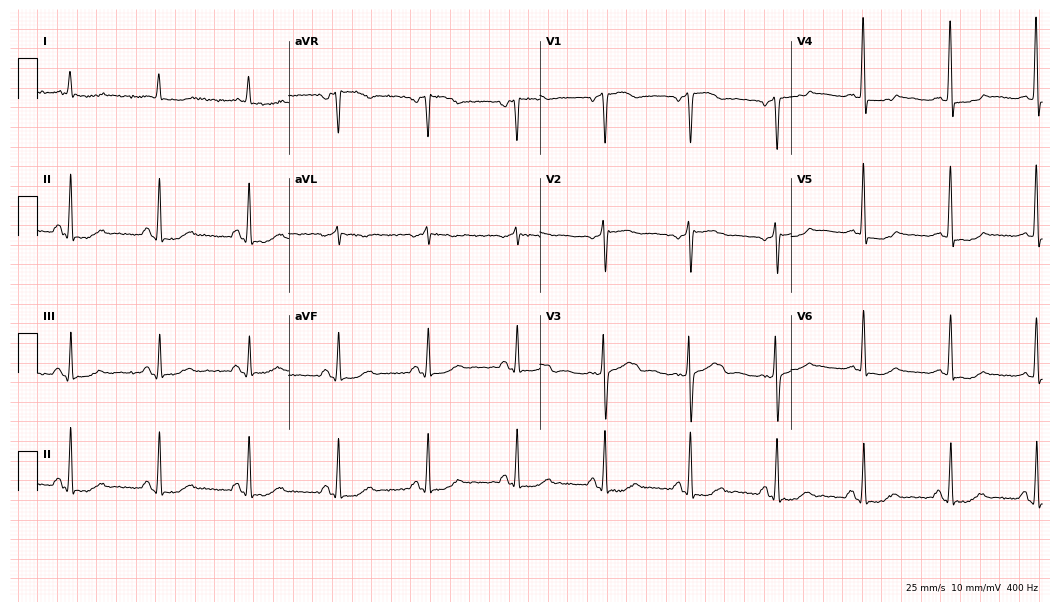
Resting 12-lead electrocardiogram. Patient: a 64-year-old female. None of these six findings is recorded: first-degree AV block, right bundle branch block, left bundle branch block, sinus bradycardia, atrial fibrillation, sinus tachycardia.